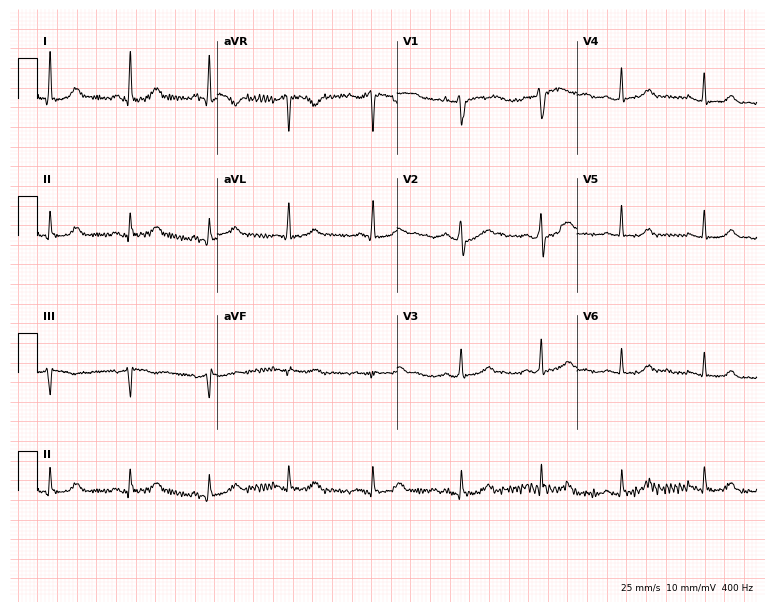
12-lead ECG from a male patient, 30 years old. Labelled as a normal ECG.